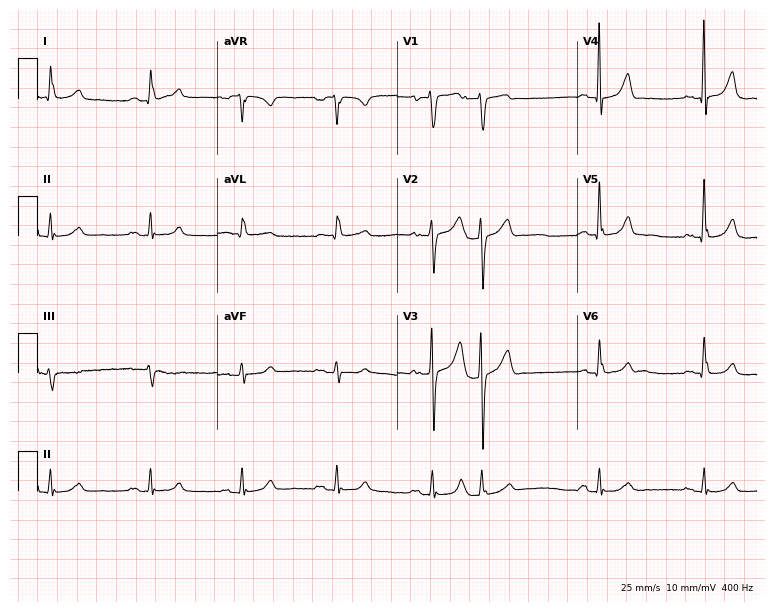
12-lead ECG from a man, 73 years old. Screened for six findings — first-degree AV block, right bundle branch block, left bundle branch block, sinus bradycardia, atrial fibrillation, sinus tachycardia — none is recorded. Only these six findings were labelled.